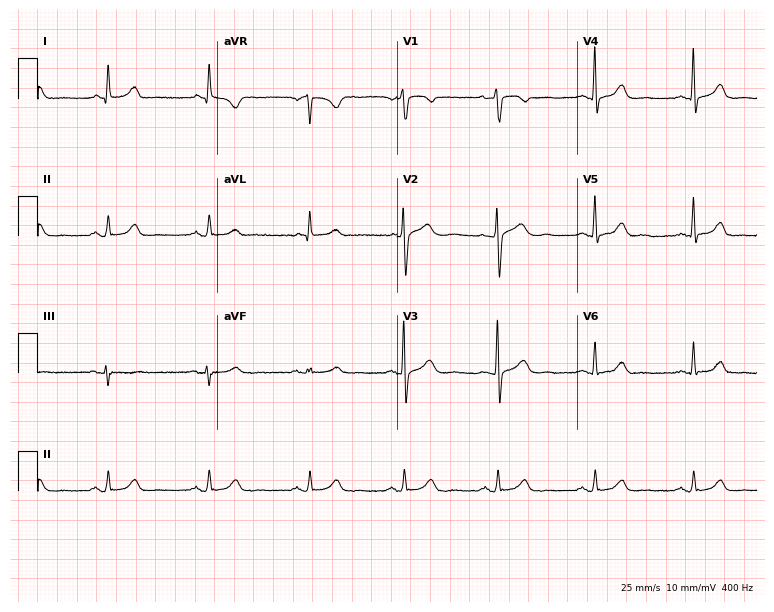
Resting 12-lead electrocardiogram. Patient: a female, 45 years old. Read as a normal ECG.